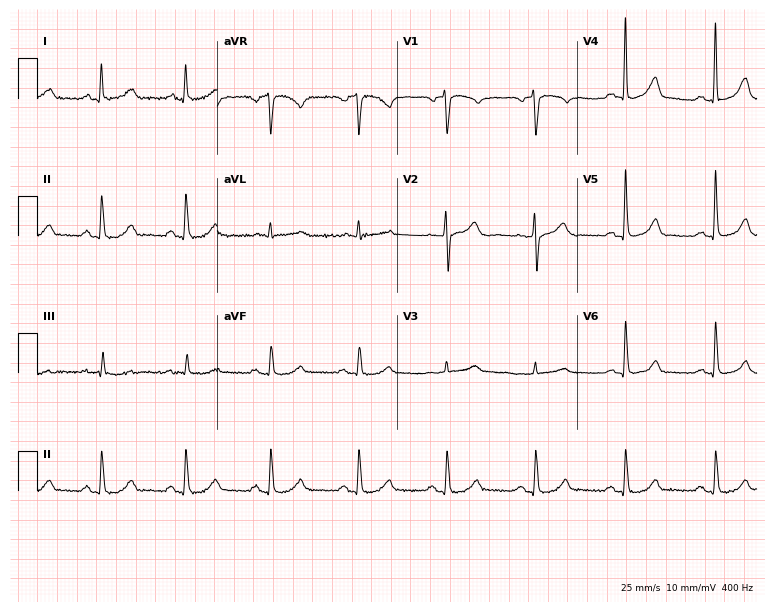
Standard 12-lead ECG recorded from a man, 66 years old (7.3-second recording at 400 Hz). Read as a normal ECG.